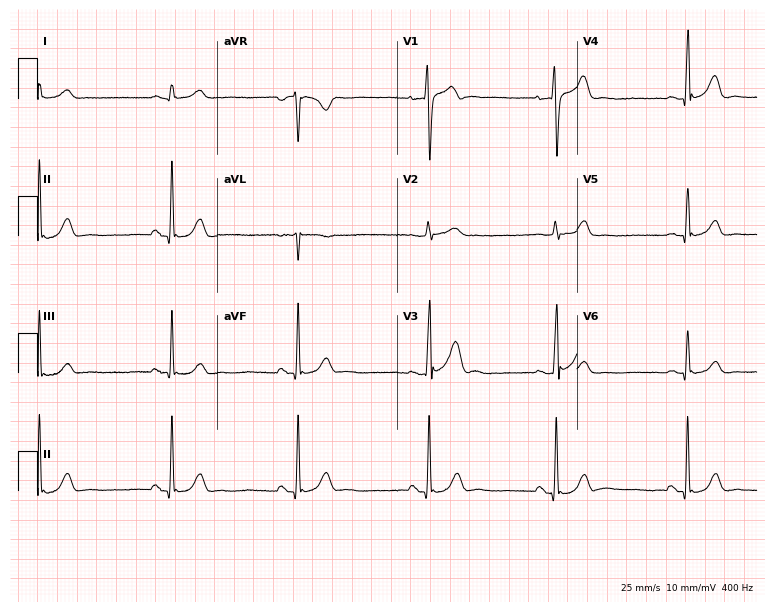
12-lead ECG from a 29-year-old male patient (7.3-second recording at 400 Hz). No first-degree AV block, right bundle branch block (RBBB), left bundle branch block (LBBB), sinus bradycardia, atrial fibrillation (AF) or sinus tachycardia recorded for this tracing.